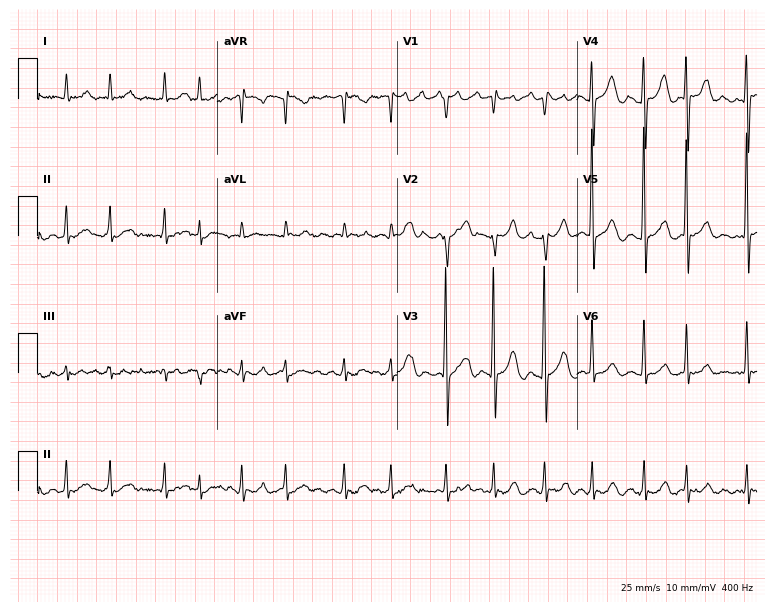
12-lead ECG from a woman, 79 years old (7.3-second recording at 400 Hz). Shows atrial fibrillation, sinus tachycardia (a sinus rate of 100 beats per minute or more).